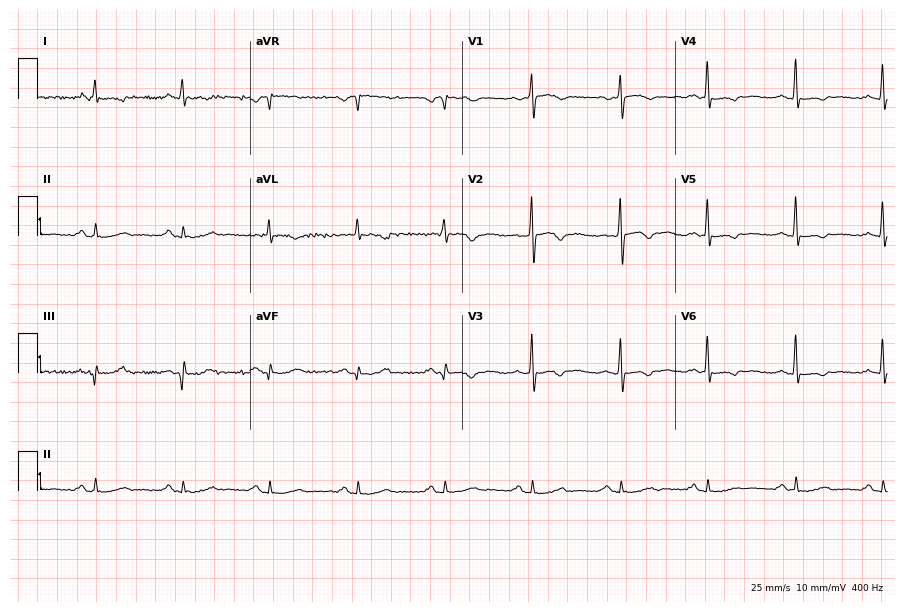
12-lead ECG (8.7-second recording at 400 Hz) from a male patient, 63 years old. Screened for six findings — first-degree AV block, right bundle branch block, left bundle branch block, sinus bradycardia, atrial fibrillation, sinus tachycardia — none is recorded.